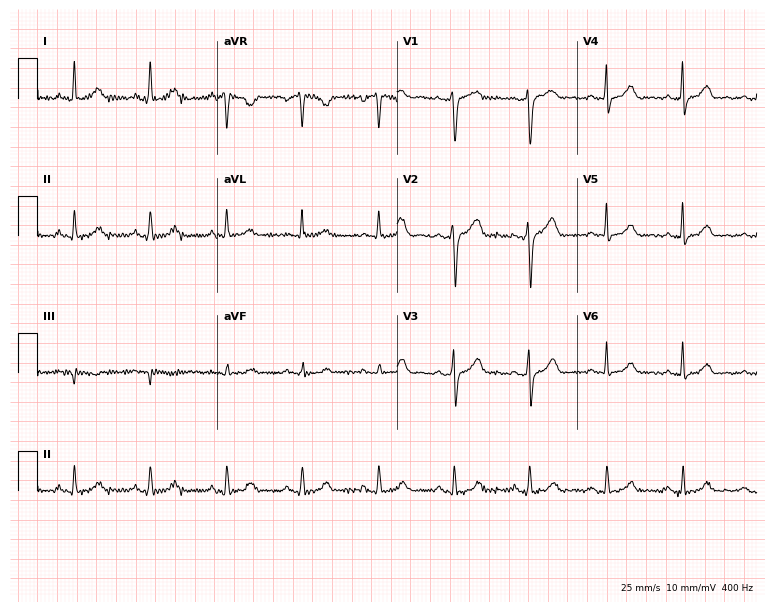
12-lead ECG from a female patient, 47 years old (7.3-second recording at 400 Hz). No first-degree AV block, right bundle branch block (RBBB), left bundle branch block (LBBB), sinus bradycardia, atrial fibrillation (AF) or sinus tachycardia recorded for this tracing. Other findings, if any, are not listed.